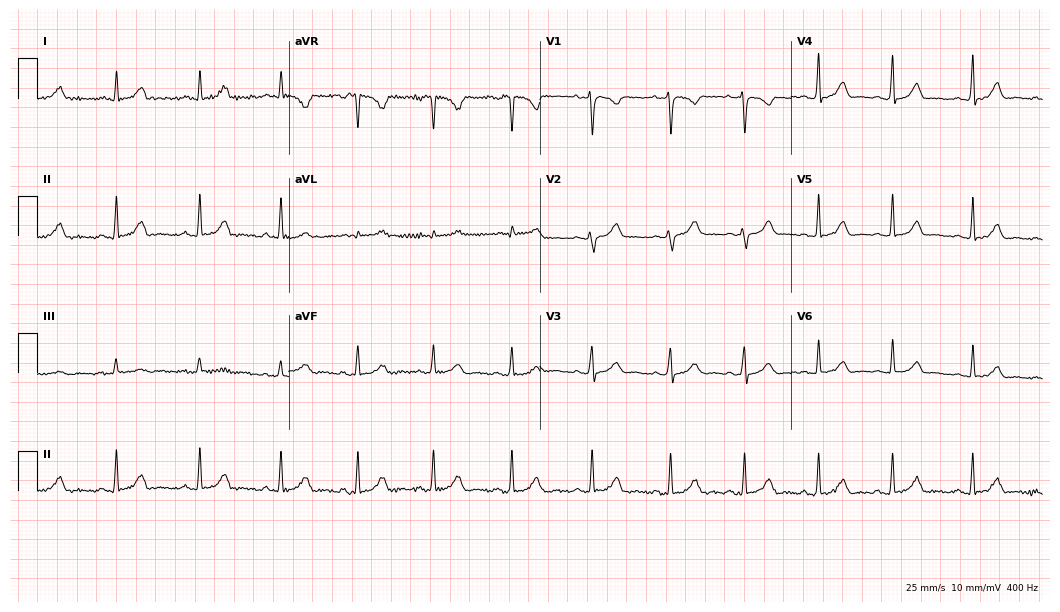
Resting 12-lead electrocardiogram (10.2-second recording at 400 Hz). Patient: a female, 18 years old. None of these six findings is recorded: first-degree AV block, right bundle branch block, left bundle branch block, sinus bradycardia, atrial fibrillation, sinus tachycardia.